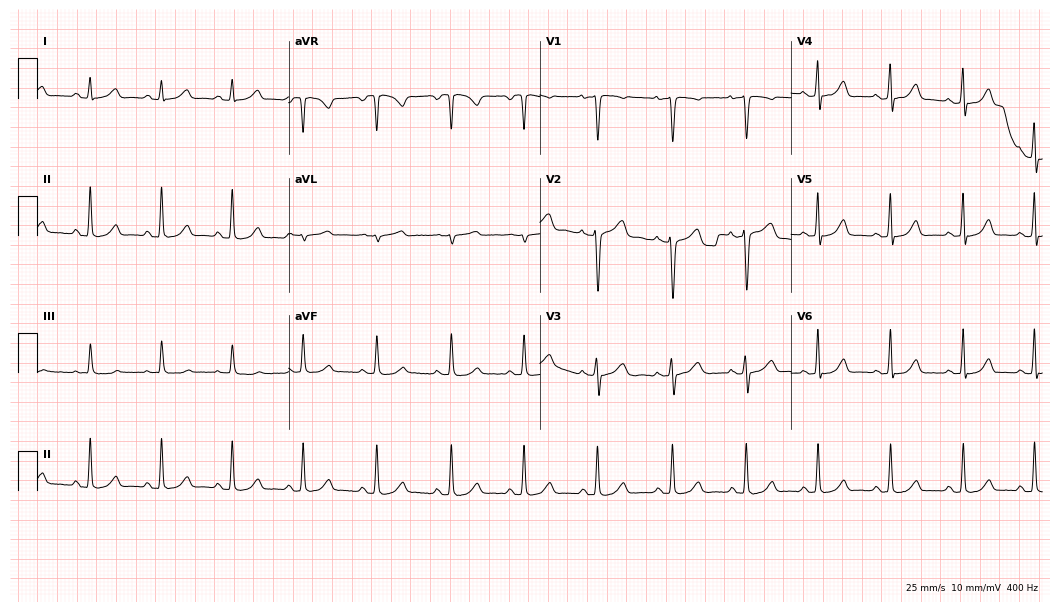
Electrocardiogram, a 44-year-old female patient. Overall reading on record: normal ECG.